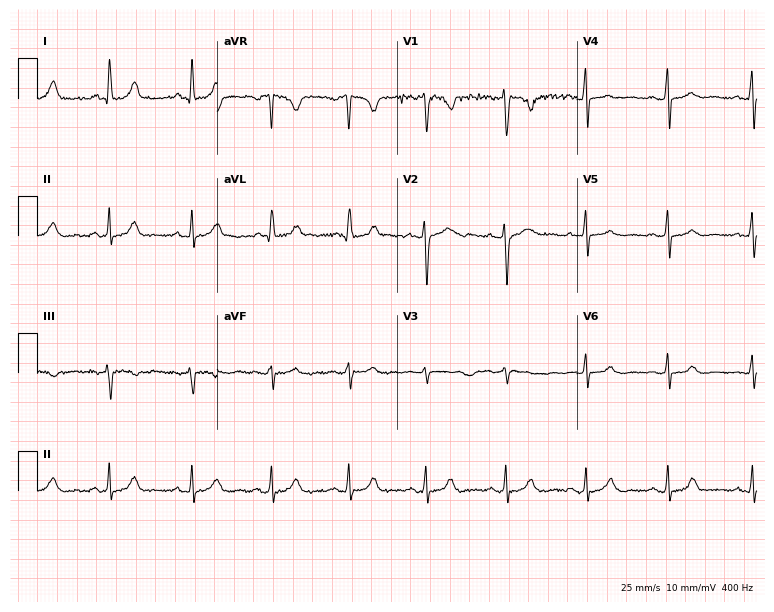
12-lead ECG from a 39-year-old female. No first-degree AV block, right bundle branch block, left bundle branch block, sinus bradycardia, atrial fibrillation or sinus tachycardia recorded for this tracing. Findings outside these six are not listed.